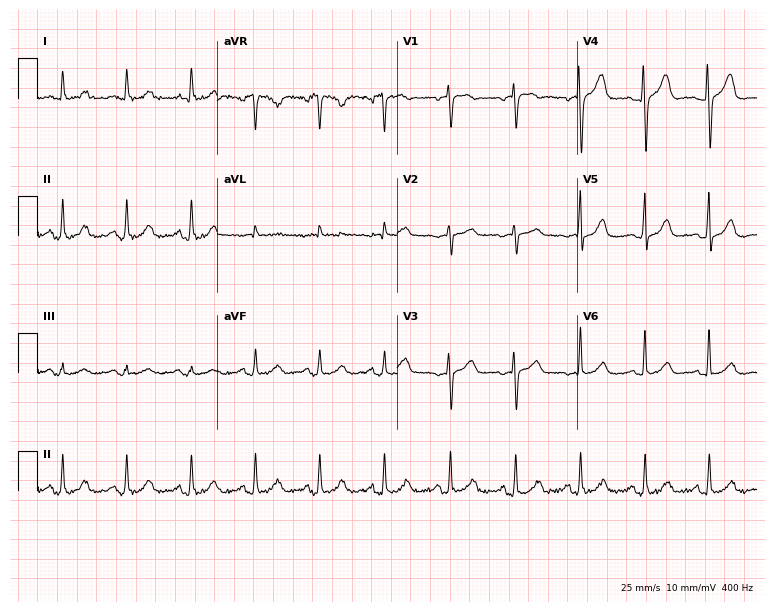
ECG (7.3-second recording at 400 Hz) — a 60-year-old female patient. Labelled as a normal ECG.